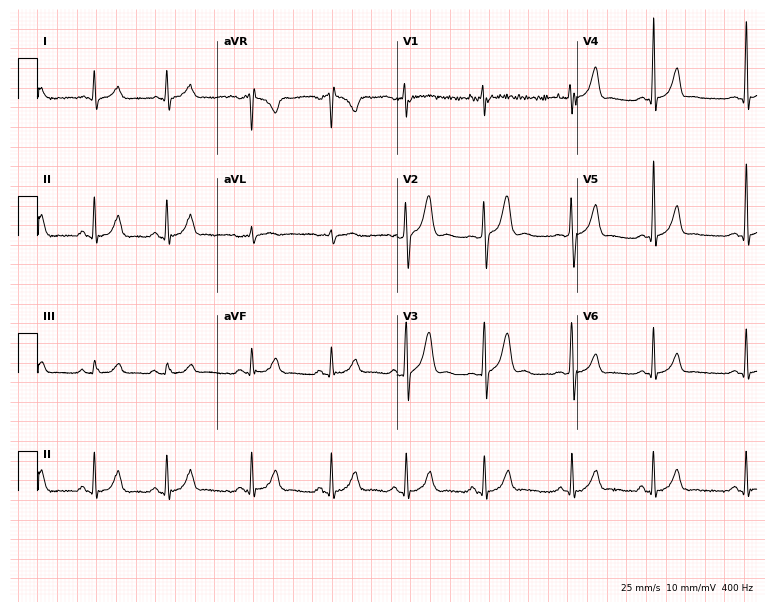
12-lead ECG (7.3-second recording at 400 Hz) from a man, 22 years old. Screened for six findings — first-degree AV block, right bundle branch block, left bundle branch block, sinus bradycardia, atrial fibrillation, sinus tachycardia — none is recorded.